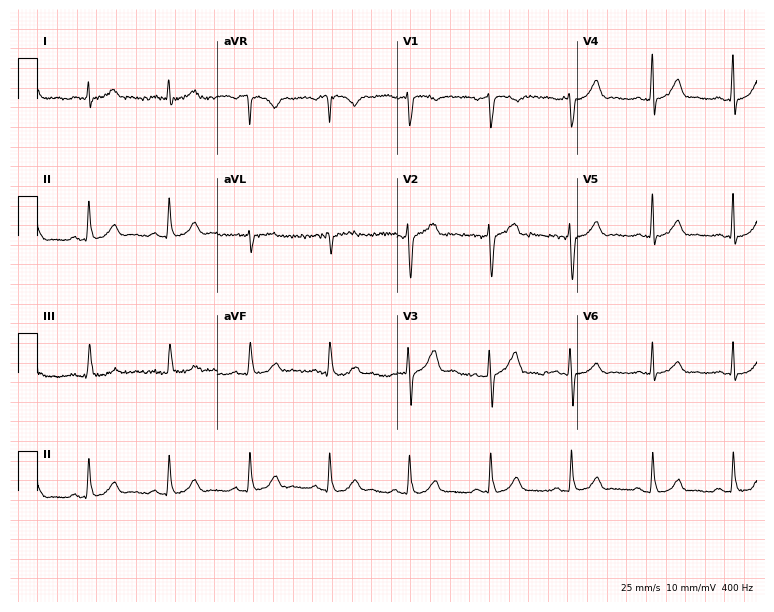
ECG (7.3-second recording at 400 Hz) — a male, 48 years old. Labelled as a normal ECG.